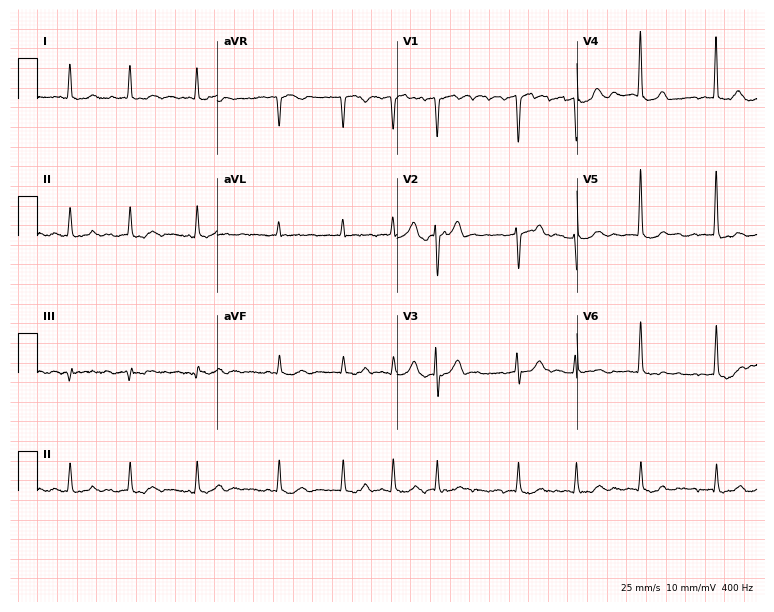
ECG — an 85-year-old man. Findings include atrial fibrillation.